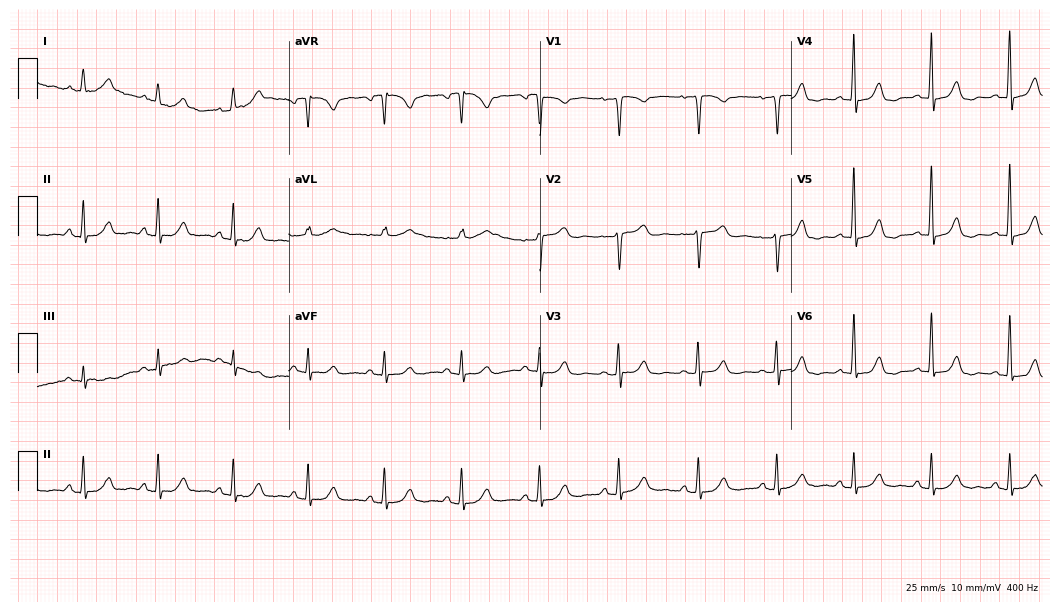
ECG (10.2-second recording at 400 Hz) — a female, 78 years old. Labelled as a normal ECG.